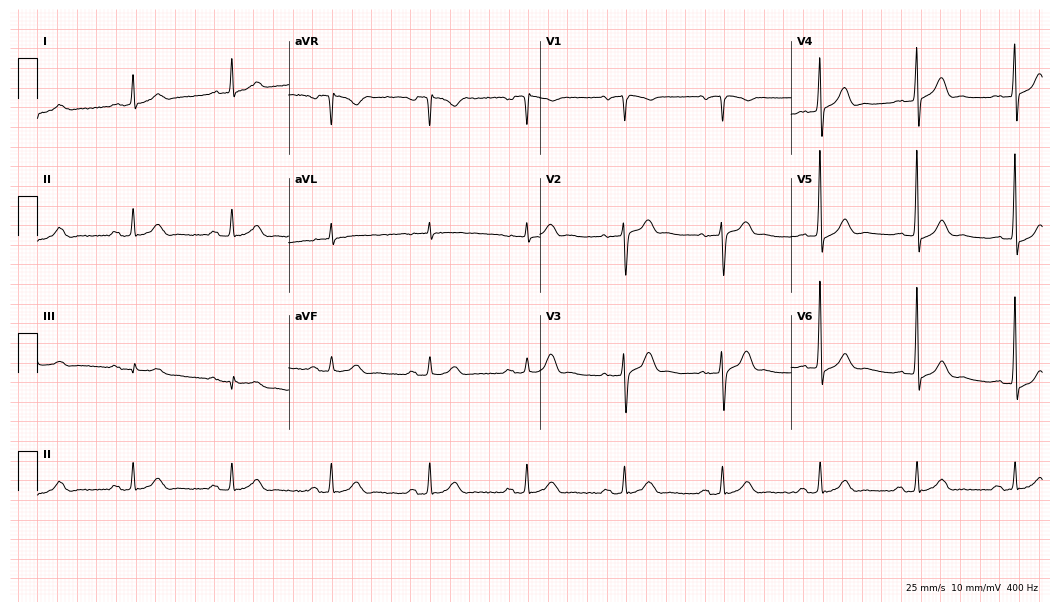
ECG — a 75-year-old male patient. Labelled as a normal ECG.